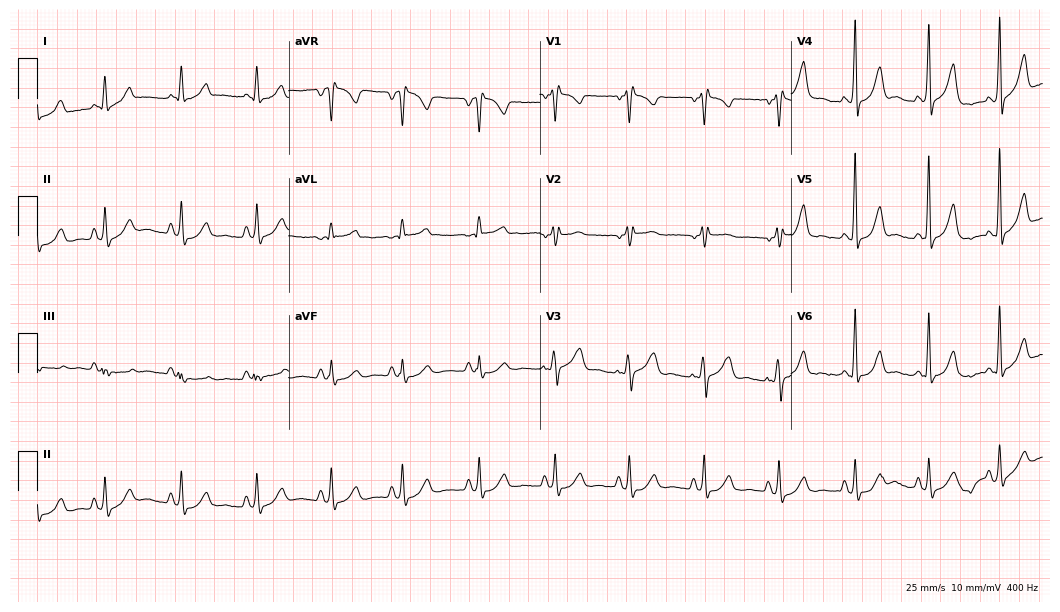
ECG — a 31-year-old woman. Screened for six findings — first-degree AV block, right bundle branch block (RBBB), left bundle branch block (LBBB), sinus bradycardia, atrial fibrillation (AF), sinus tachycardia — none is recorded.